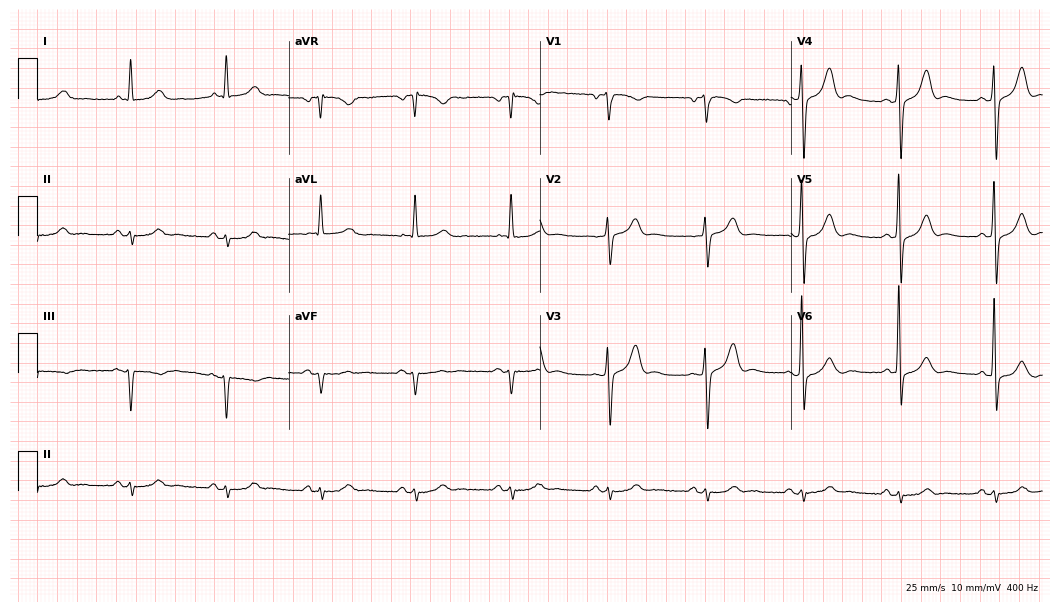
ECG (10.2-second recording at 400 Hz) — a 77-year-old male. Screened for six findings — first-degree AV block, right bundle branch block (RBBB), left bundle branch block (LBBB), sinus bradycardia, atrial fibrillation (AF), sinus tachycardia — none is recorded.